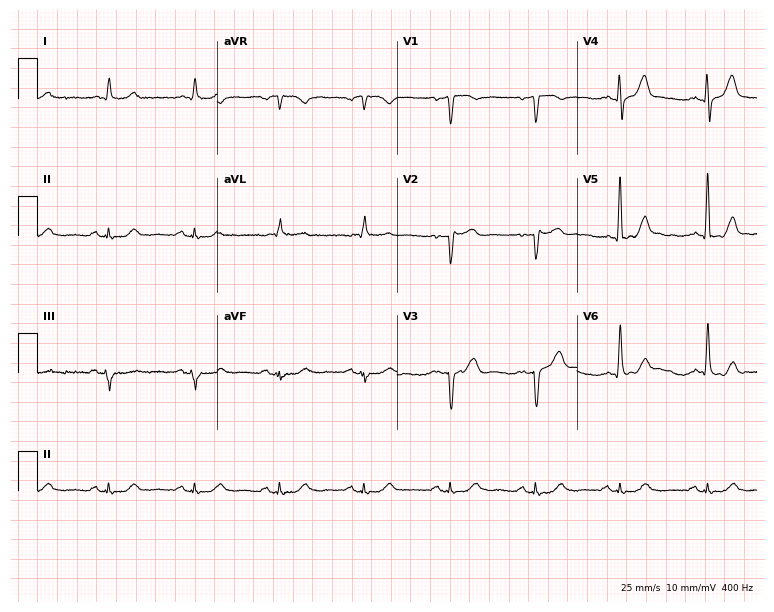
ECG — a man, 66 years old. Labelled as a normal ECG.